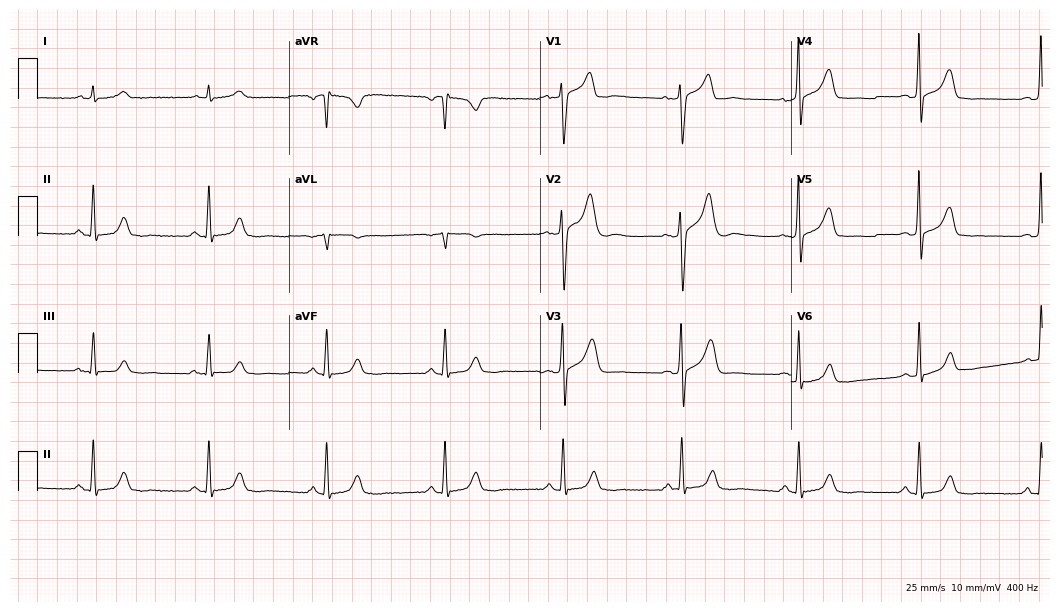
Resting 12-lead electrocardiogram (10.2-second recording at 400 Hz). Patient: a male, 60 years old. The tracing shows sinus bradycardia (a sinus rate of 50 beats per minute or less).